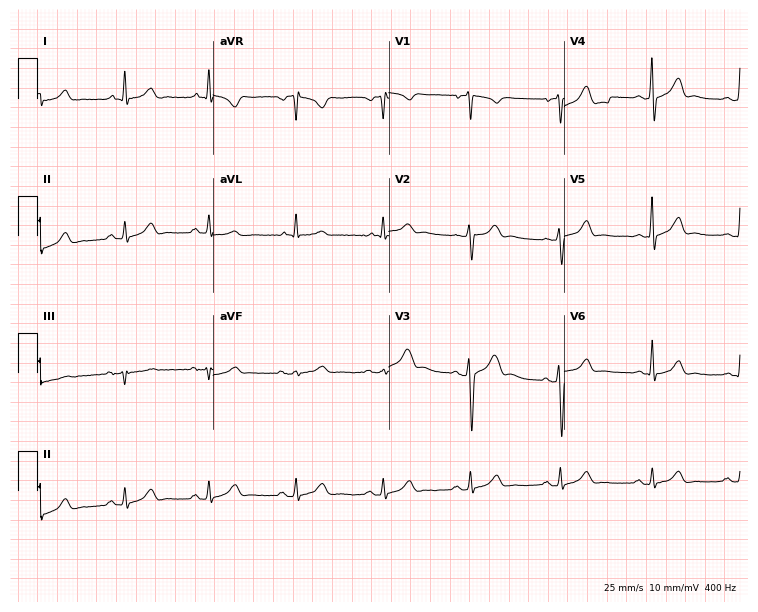
12-lead ECG from a 44-year-old man. Labelled as a normal ECG.